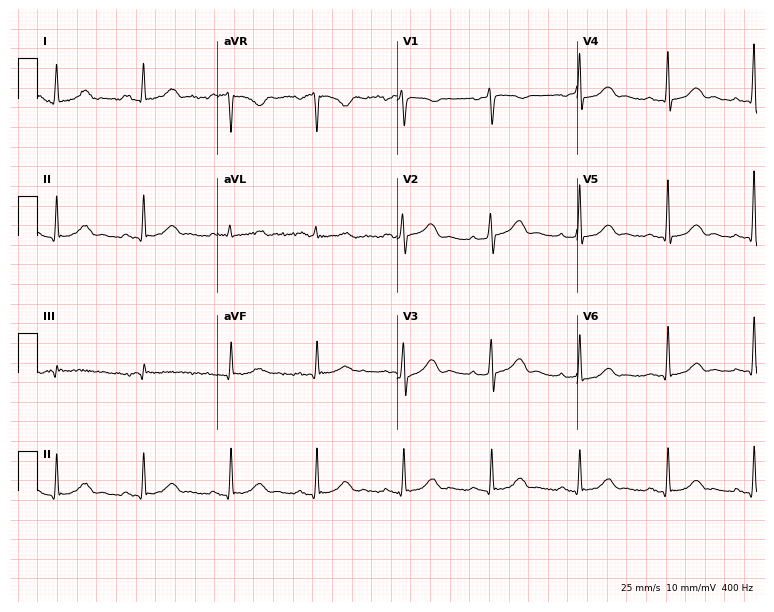
Standard 12-lead ECG recorded from a 66-year-old female patient (7.3-second recording at 400 Hz). None of these six findings is recorded: first-degree AV block, right bundle branch block (RBBB), left bundle branch block (LBBB), sinus bradycardia, atrial fibrillation (AF), sinus tachycardia.